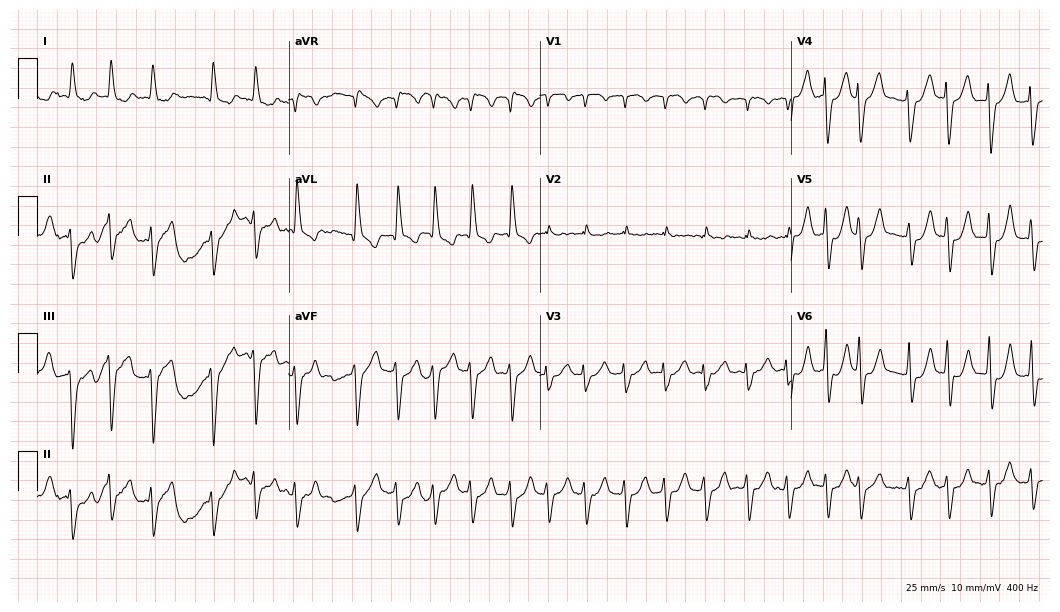
ECG — a female, 80 years old. Findings include atrial fibrillation.